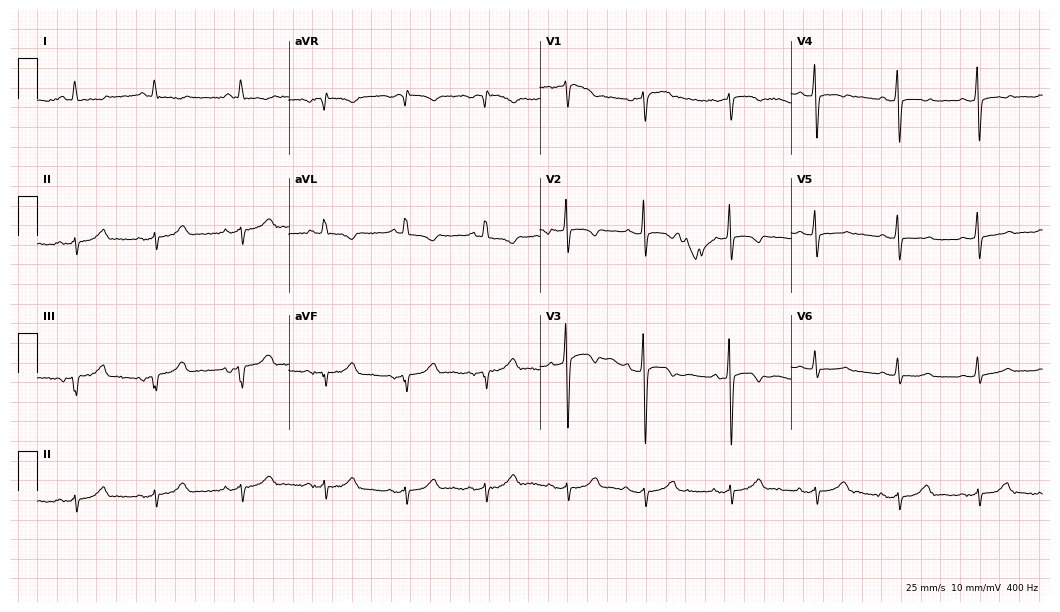
Standard 12-lead ECG recorded from a 79-year-old woman (10.2-second recording at 400 Hz). None of these six findings is recorded: first-degree AV block, right bundle branch block (RBBB), left bundle branch block (LBBB), sinus bradycardia, atrial fibrillation (AF), sinus tachycardia. Only these six findings were labelled.